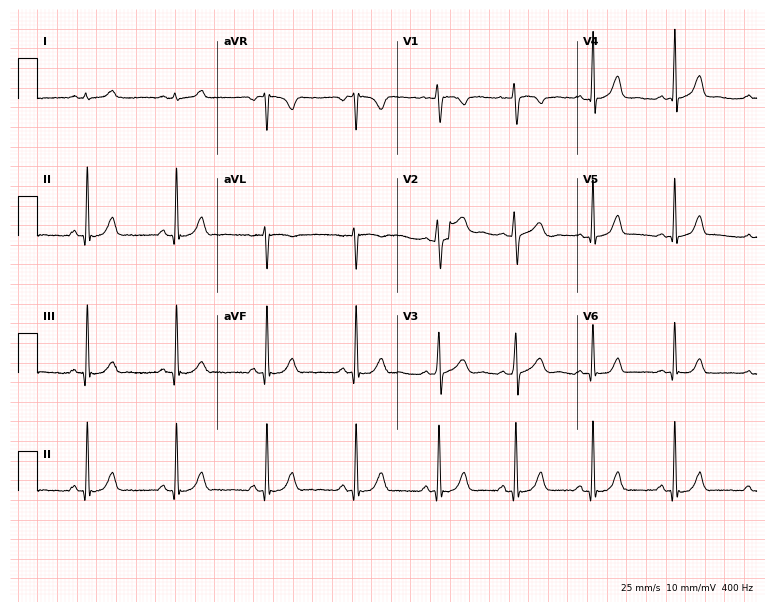
Resting 12-lead electrocardiogram. Patient: a female, 17 years old. Read as a normal ECG.